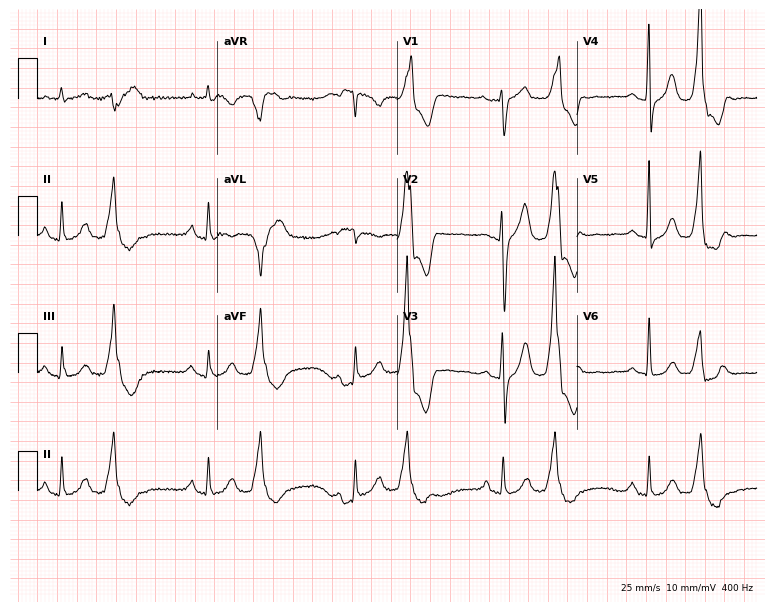
ECG — a male patient, 69 years old. Screened for six findings — first-degree AV block, right bundle branch block (RBBB), left bundle branch block (LBBB), sinus bradycardia, atrial fibrillation (AF), sinus tachycardia — none is recorded.